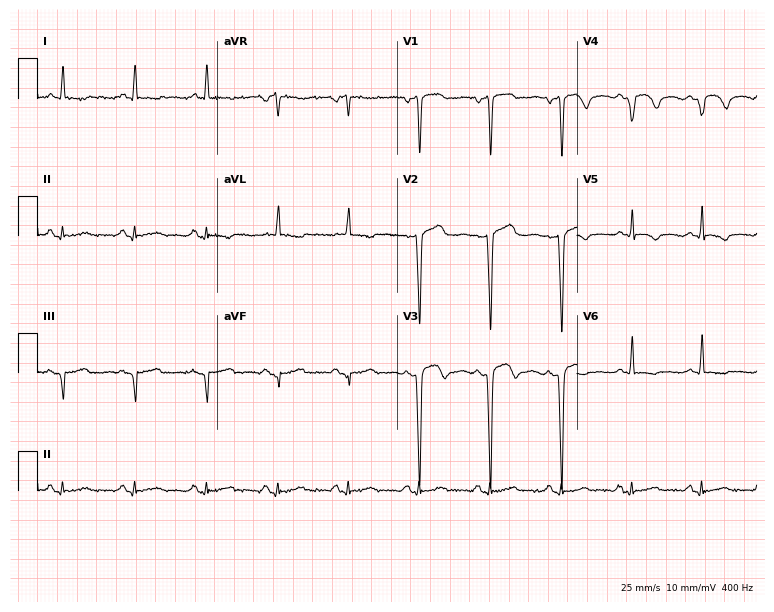
Electrocardiogram, a woman, 76 years old. Of the six screened findings (first-degree AV block, right bundle branch block (RBBB), left bundle branch block (LBBB), sinus bradycardia, atrial fibrillation (AF), sinus tachycardia), none is recorded.